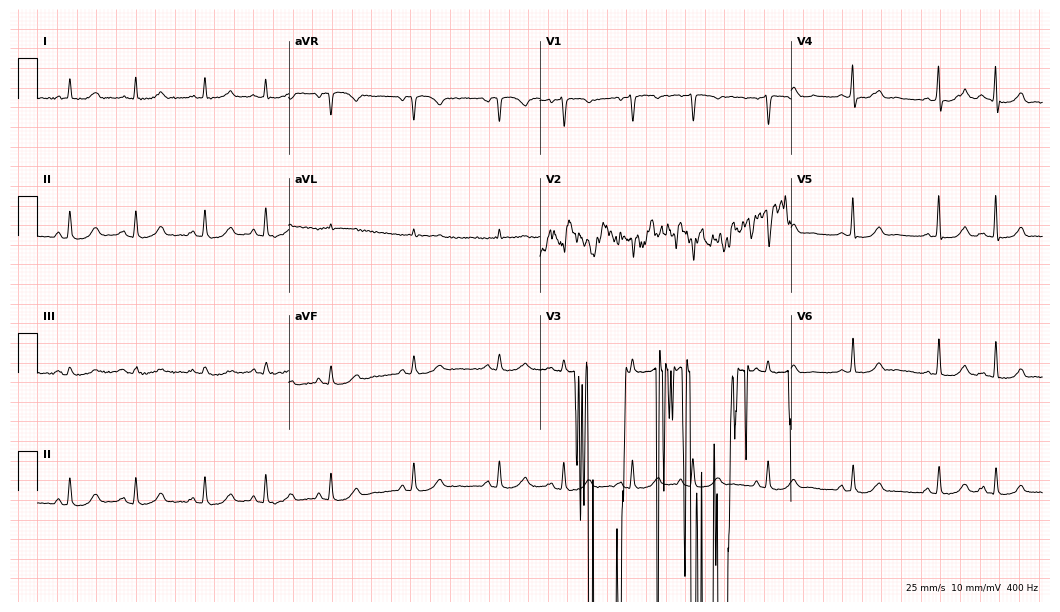
12-lead ECG from a woman, 74 years old (10.2-second recording at 400 Hz). No first-degree AV block, right bundle branch block, left bundle branch block, sinus bradycardia, atrial fibrillation or sinus tachycardia recorded for this tracing. Other findings, if any, are not listed.